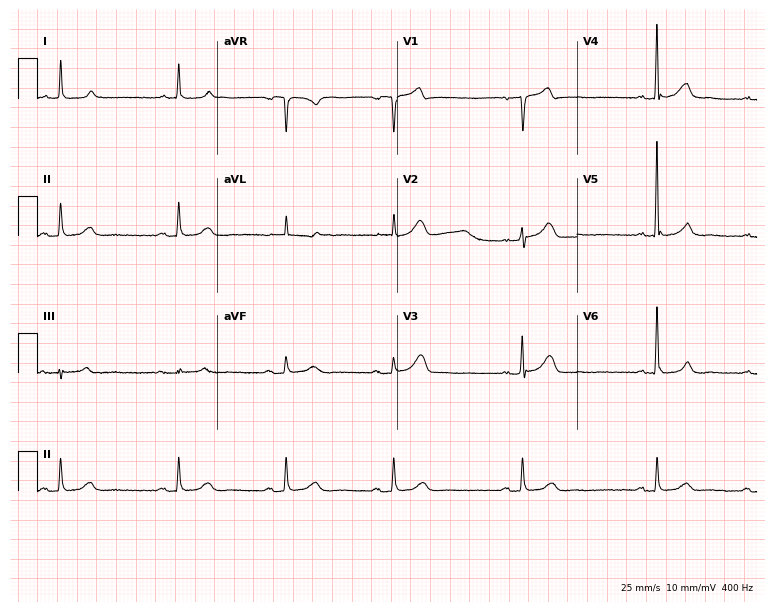
12-lead ECG (7.3-second recording at 400 Hz) from a man, 79 years old. Labelled as a normal ECG.